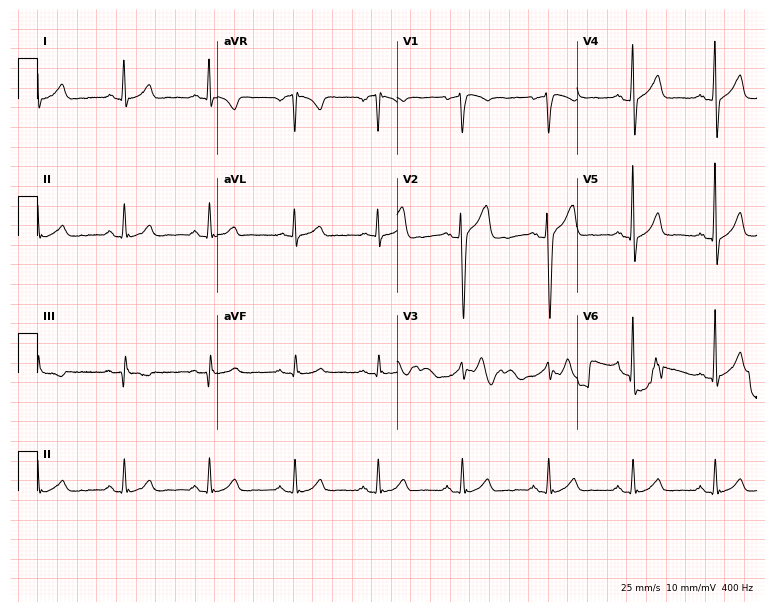
Electrocardiogram (7.3-second recording at 400 Hz), a 41-year-old male. Overall reading on record: normal ECG.